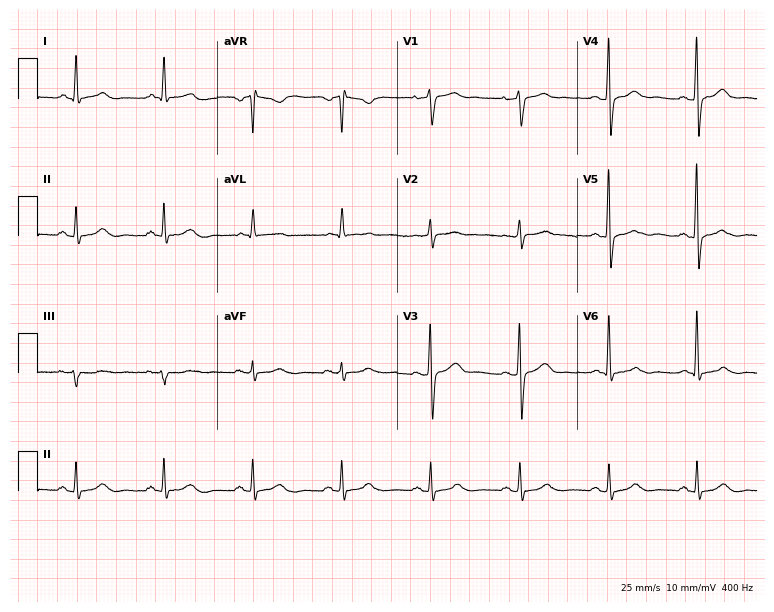
Resting 12-lead electrocardiogram. Patient: a 67-year-old woman. None of these six findings is recorded: first-degree AV block, right bundle branch block, left bundle branch block, sinus bradycardia, atrial fibrillation, sinus tachycardia. Findings outside these six are not listed.